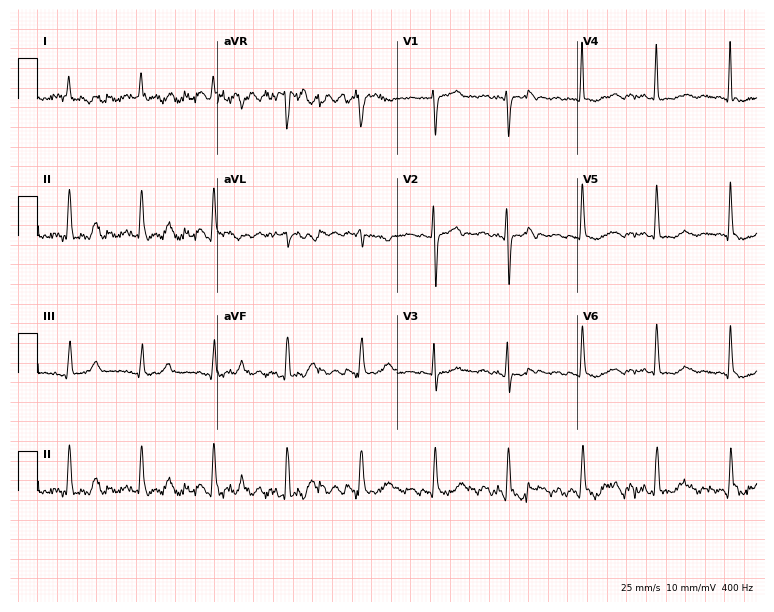
12-lead ECG from a 73-year-old female patient (7.3-second recording at 400 Hz). No first-degree AV block, right bundle branch block, left bundle branch block, sinus bradycardia, atrial fibrillation or sinus tachycardia recorded for this tracing. Findings outside these six are not listed.